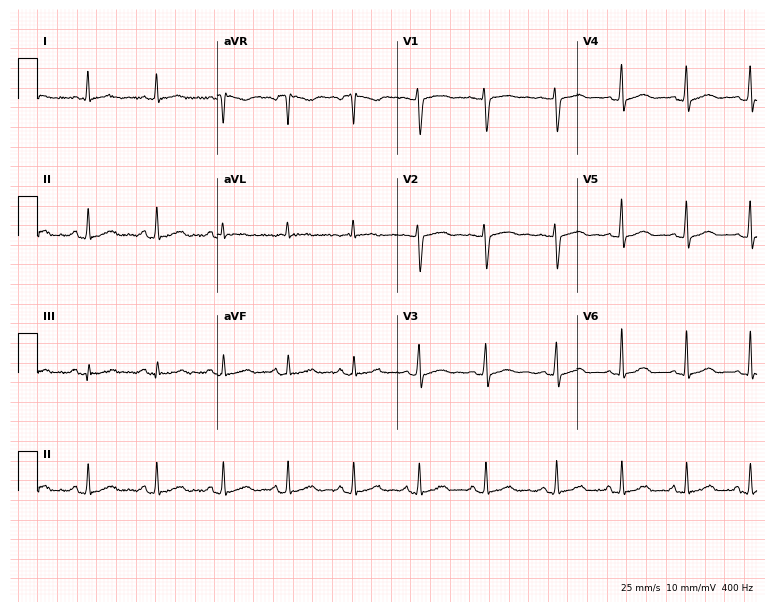
12-lead ECG (7.3-second recording at 400 Hz) from a woman, 40 years old. Labelled as a normal ECG.